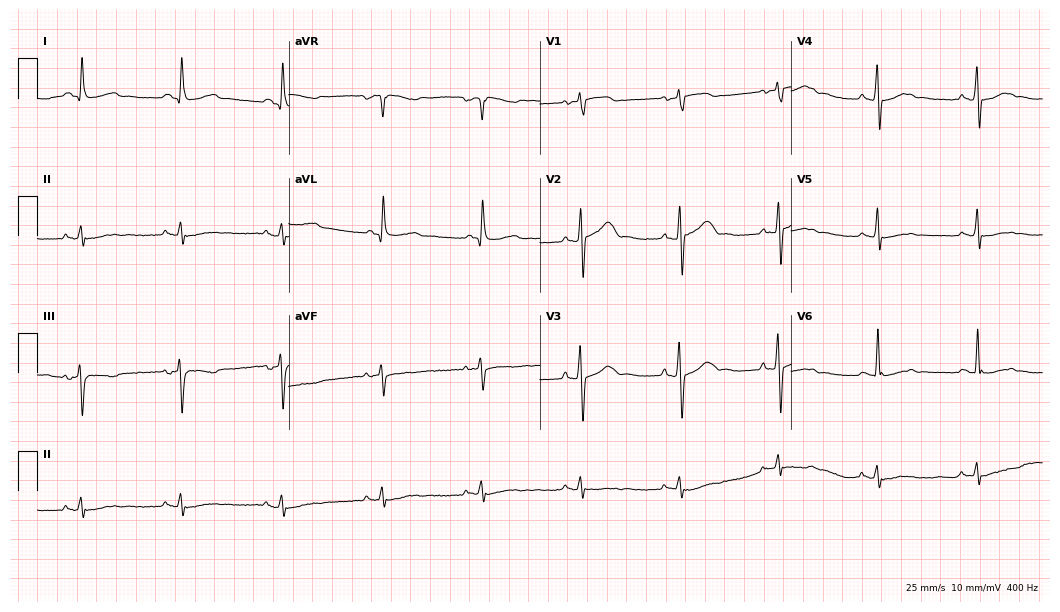
Resting 12-lead electrocardiogram (10.2-second recording at 400 Hz). Patient: a 75-year-old male. None of these six findings is recorded: first-degree AV block, right bundle branch block, left bundle branch block, sinus bradycardia, atrial fibrillation, sinus tachycardia.